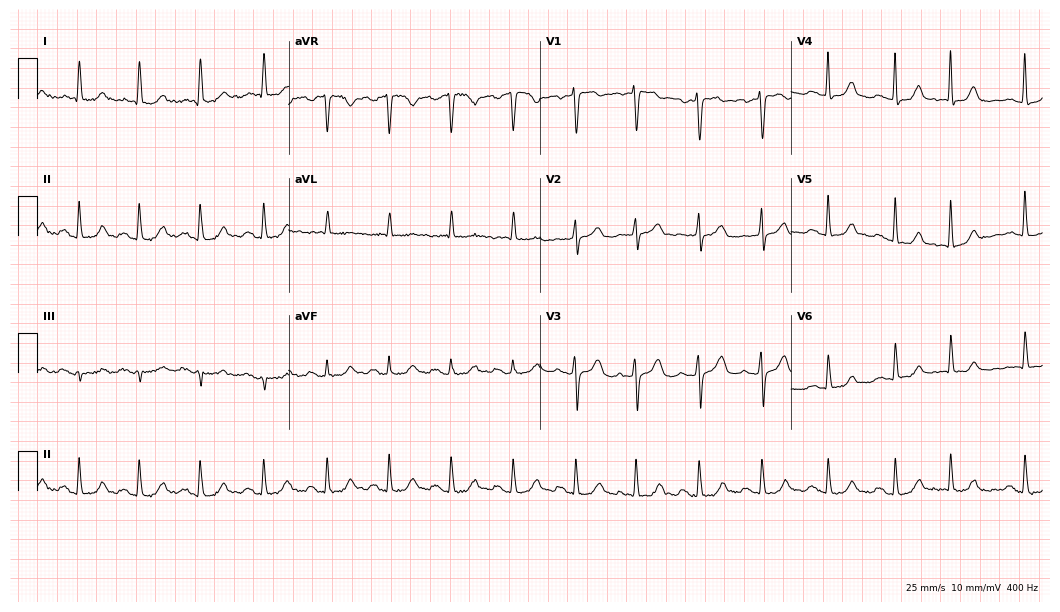
Electrocardiogram (10.2-second recording at 400 Hz), a 68-year-old male patient. Of the six screened findings (first-degree AV block, right bundle branch block (RBBB), left bundle branch block (LBBB), sinus bradycardia, atrial fibrillation (AF), sinus tachycardia), none is recorded.